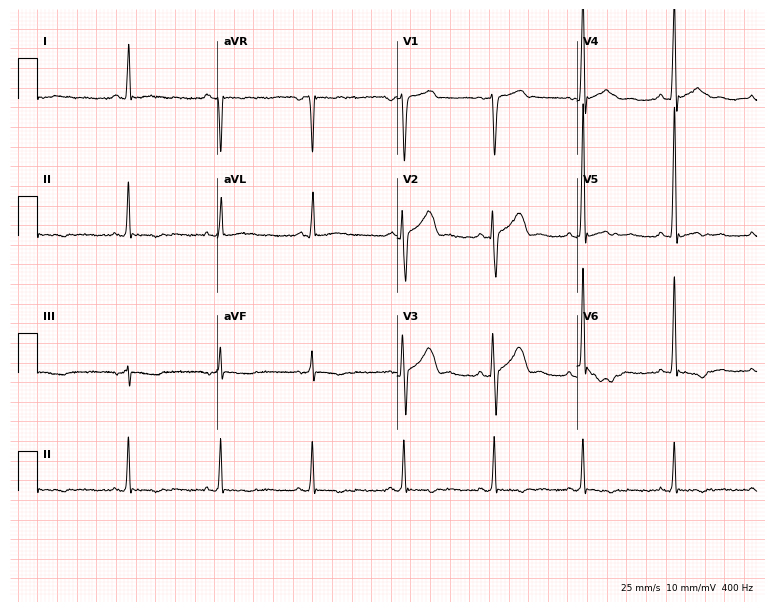
12-lead ECG from a male, 64 years old (7.3-second recording at 400 Hz). No first-degree AV block, right bundle branch block, left bundle branch block, sinus bradycardia, atrial fibrillation or sinus tachycardia recorded for this tracing. Only these six findings were labelled.